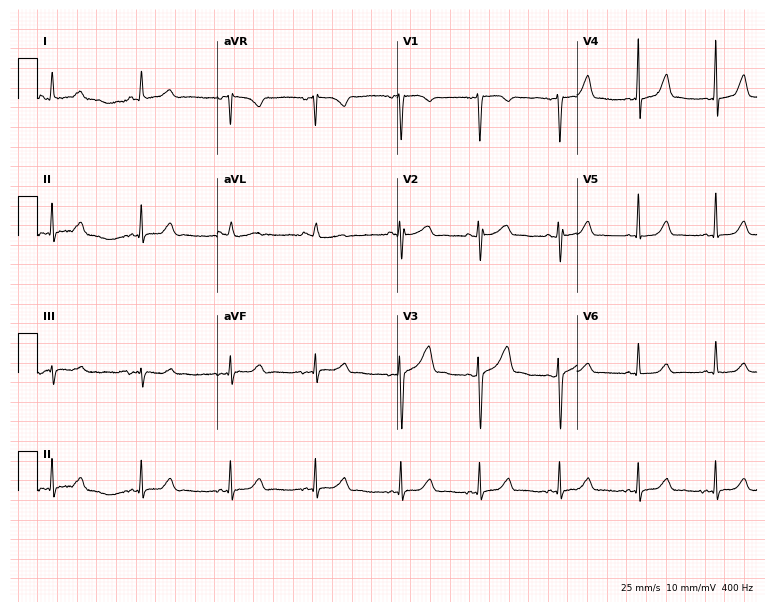
Resting 12-lead electrocardiogram. Patient: a 54-year-old female. None of these six findings is recorded: first-degree AV block, right bundle branch block (RBBB), left bundle branch block (LBBB), sinus bradycardia, atrial fibrillation (AF), sinus tachycardia. Only these six findings were labelled.